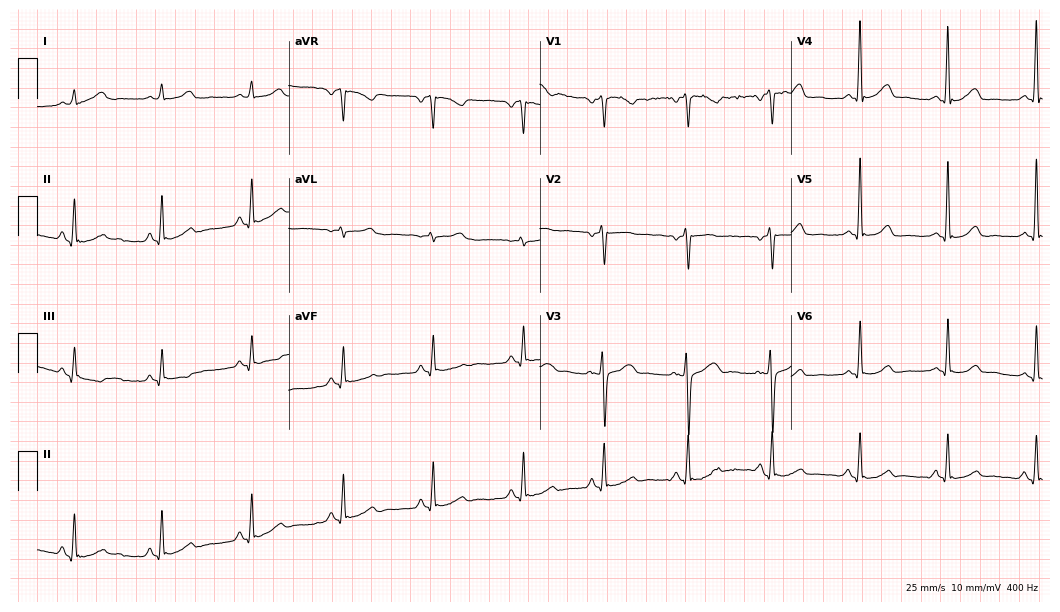
ECG (10.2-second recording at 400 Hz) — a female patient, 35 years old. Labelled as a normal ECG.